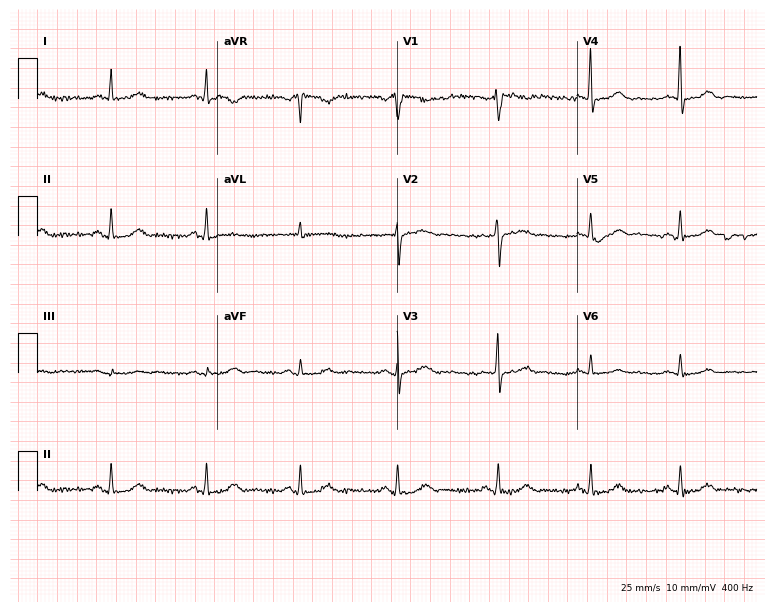
ECG (7.3-second recording at 400 Hz) — a female, 50 years old. Screened for six findings — first-degree AV block, right bundle branch block, left bundle branch block, sinus bradycardia, atrial fibrillation, sinus tachycardia — none is recorded. Findings outside these six are not listed.